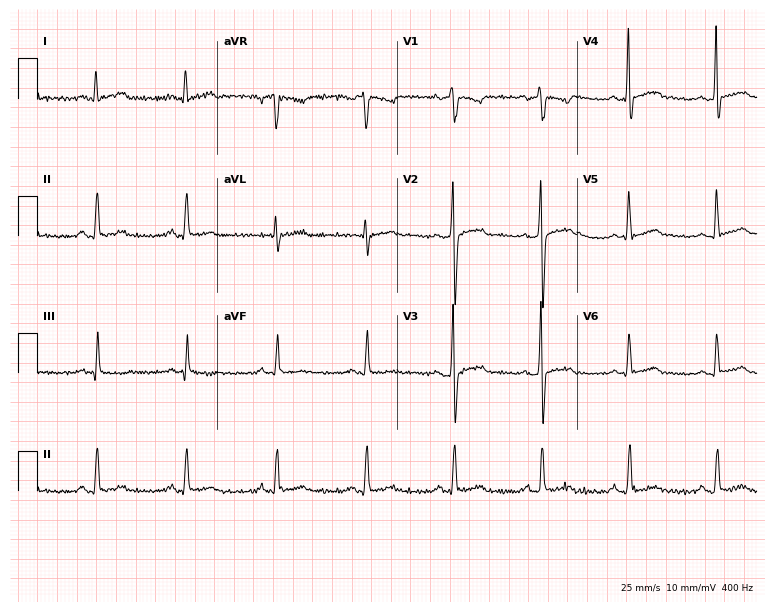
Electrocardiogram (7.3-second recording at 400 Hz), a 47-year-old male. Overall reading on record: normal ECG.